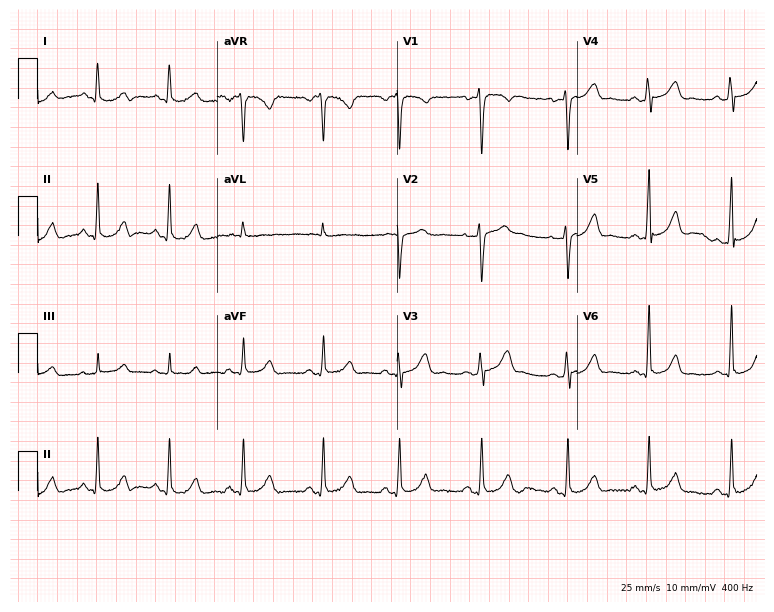
Resting 12-lead electrocardiogram. Patient: a 35-year-old female. Read as a normal ECG.